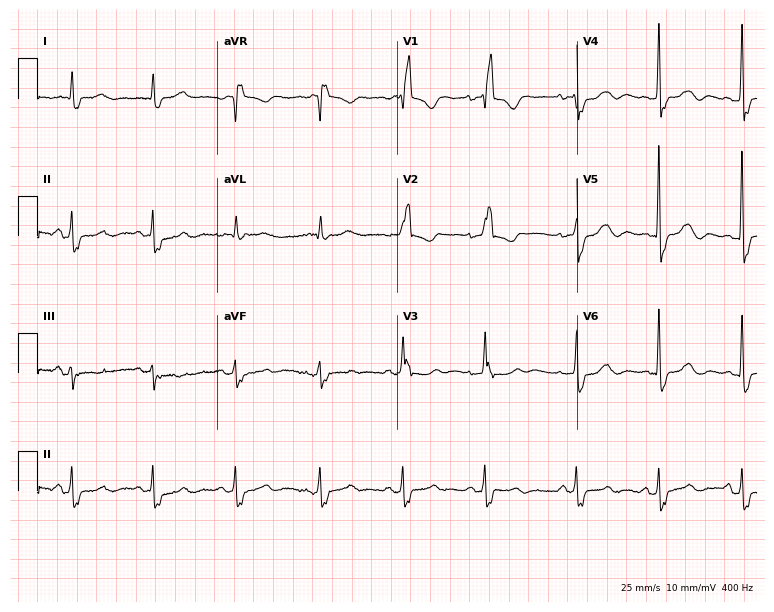
12-lead ECG from an 88-year-old woman (7.3-second recording at 400 Hz). Shows right bundle branch block.